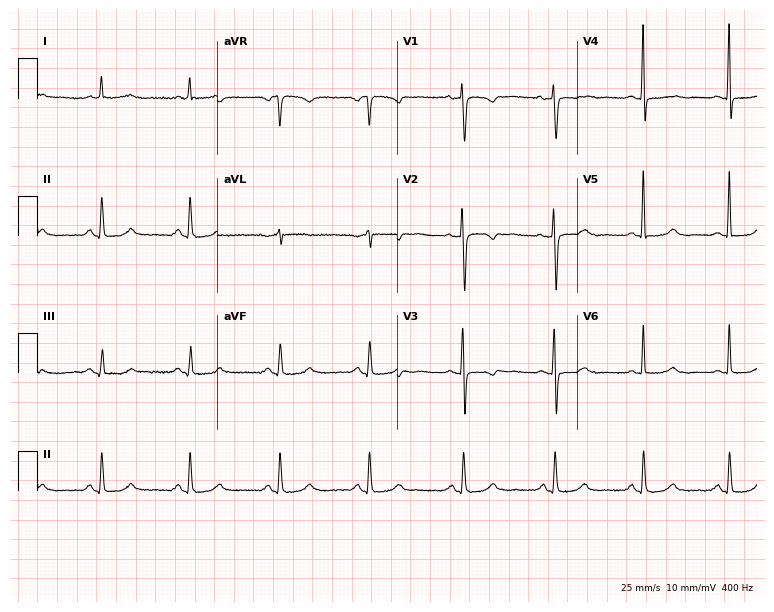
12-lead ECG from a female, 59 years old (7.3-second recording at 400 Hz). No first-degree AV block, right bundle branch block, left bundle branch block, sinus bradycardia, atrial fibrillation or sinus tachycardia recorded for this tracing.